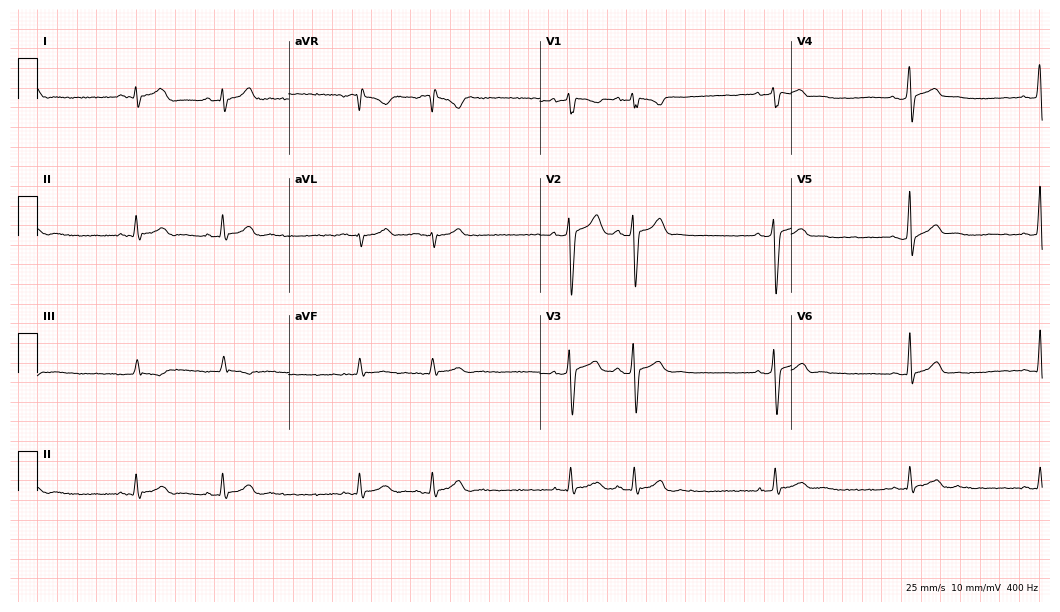
Standard 12-lead ECG recorded from a 19-year-old male. None of these six findings is recorded: first-degree AV block, right bundle branch block (RBBB), left bundle branch block (LBBB), sinus bradycardia, atrial fibrillation (AF), sinus tachycardia. Only these six findings were labelled.